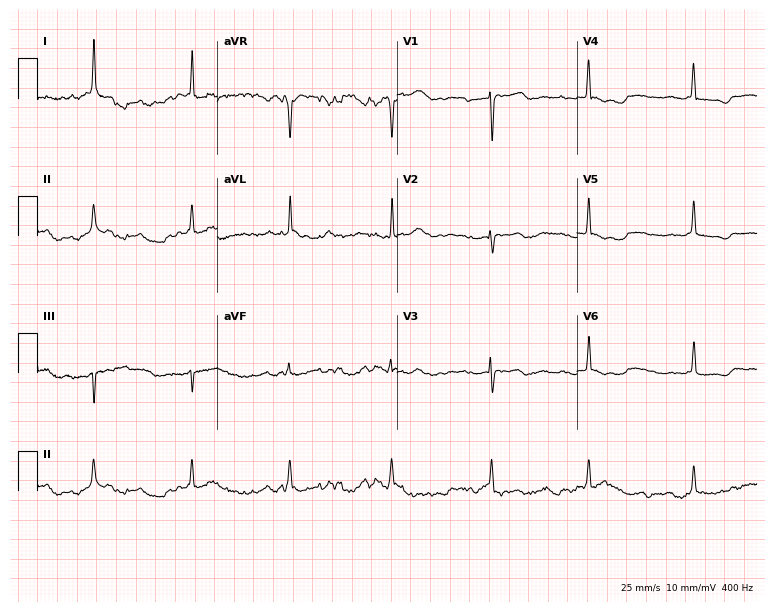
12-lead ECG from a 71-year-old female patient. No first-degree AV block, right bundle branch block (RBBB), left bundle branch block (LBBB), sinus bradycardia, atrial fibrillation (AF) or sinus tachycardia recorded for this tracing. Other findings, if any, are not listed.